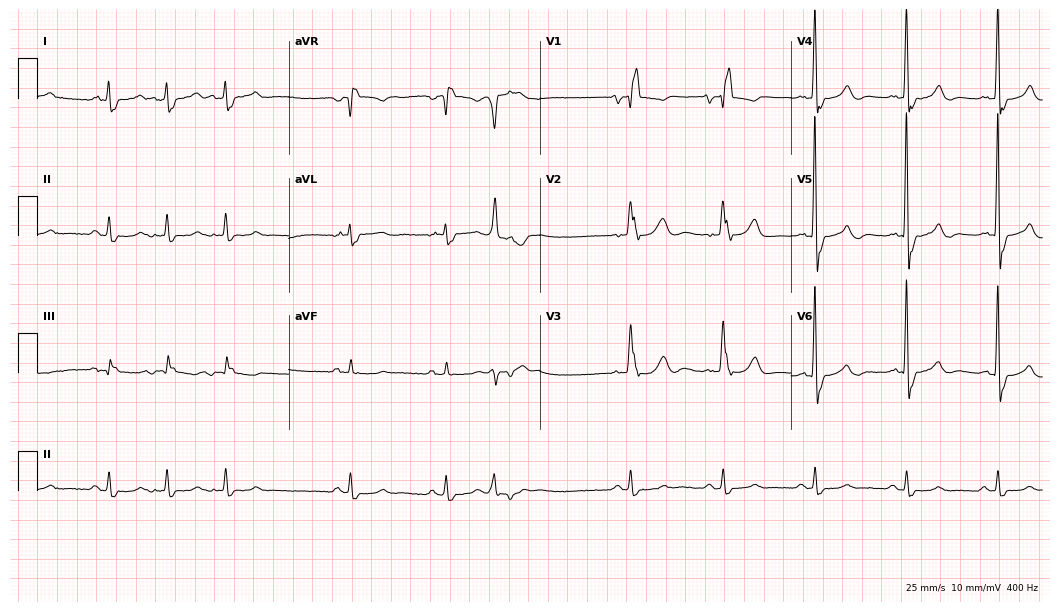
12-lead ECG from a man, 84 years old. Shows right bundle branch block.